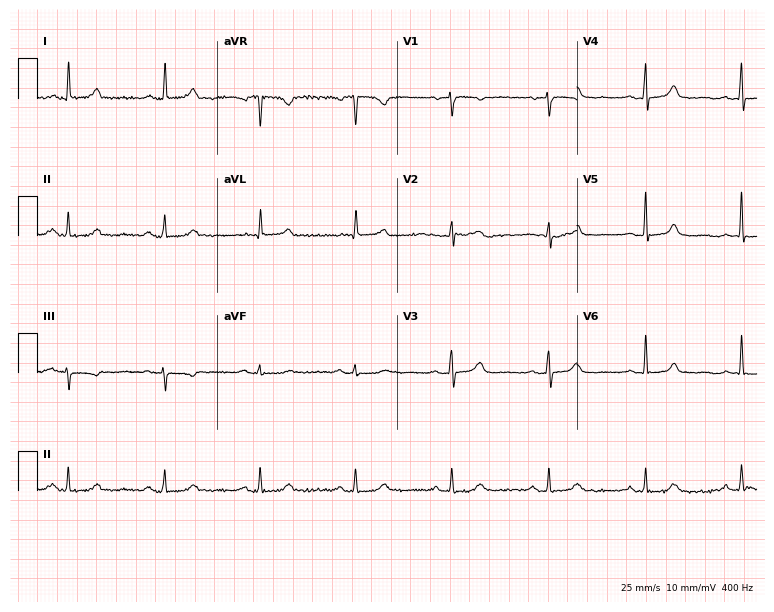
12-lead ECG from a 73-year-old female (7.3-second recording at 400 Hz). Recorded interpretation: within normal limits.